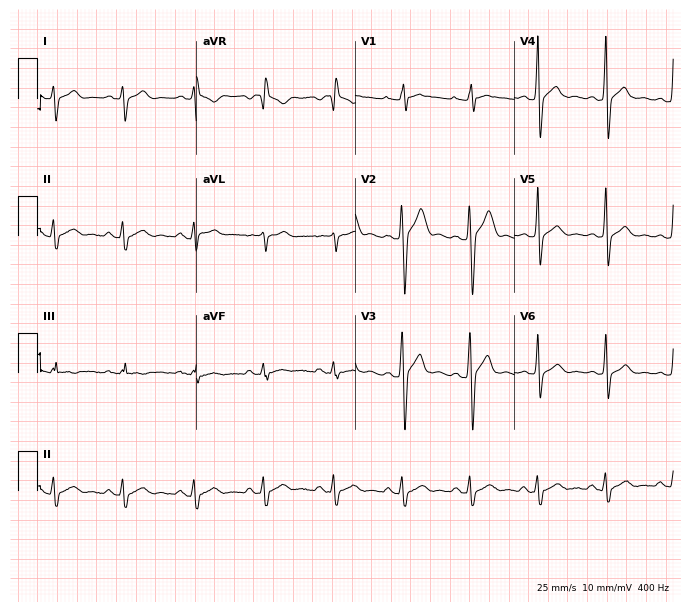
12-lead ECG (6.5-second recording at 400 Hz) from a male patient, 29 years old. Screened for six findings — first-degree AV block, right bundle branch block, left bundle branch block, sinus bradycardia, atrial fibrillation, sinus tachycardia — none is recorded. Other findings, if any, are not listed.